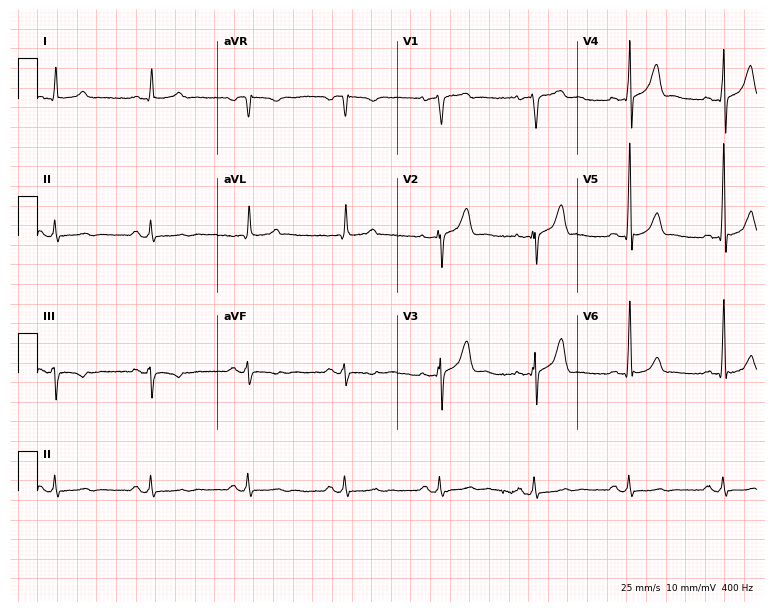
Resting 12-lead electrocardiogram (7.3-second recording at 400 Hz). Patient: a male, 62 years old. None of these six findings is recorded: first-degree AV block, right bundle branch block (RBBB), left bundle branch block (LBBB), sinus bradycardia, atrial fibrillation (AF), sinus tachycardia.